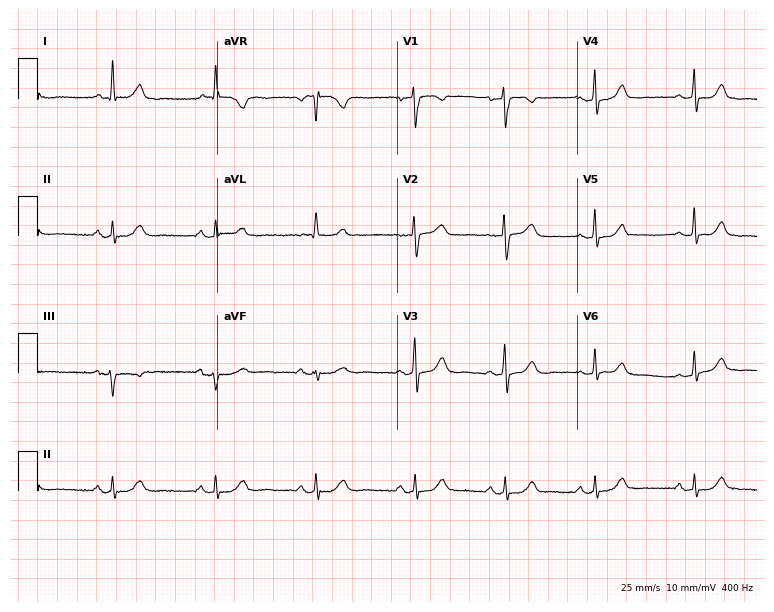
12-lead ECG from a 72-year-old female patient. Recorded interpretation: within normal limits.